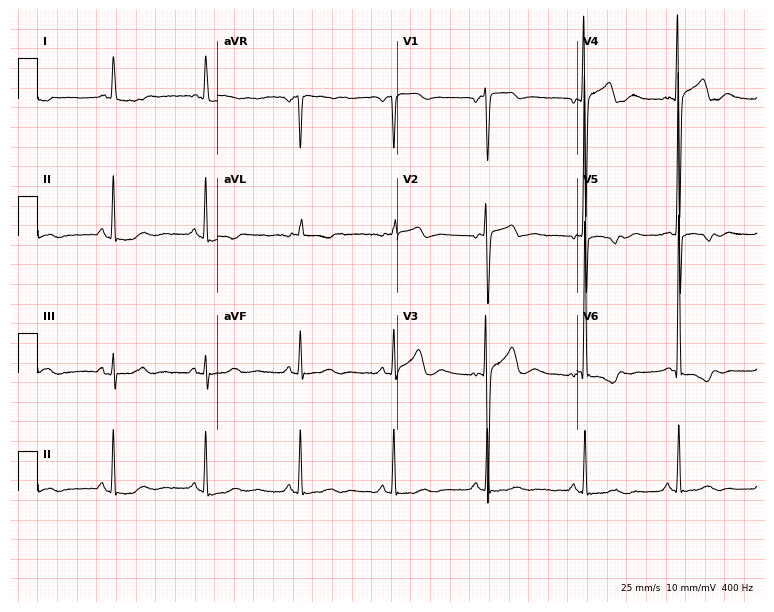
12-lead ECG from a female, 81 years old (7.3-second recording at 400 Hz). No first-degree AV block, right bundle branch block, left bundle branch block, sinus bradycardia, atrial fibrillation or sinus tachycardia recorded for this tracing.